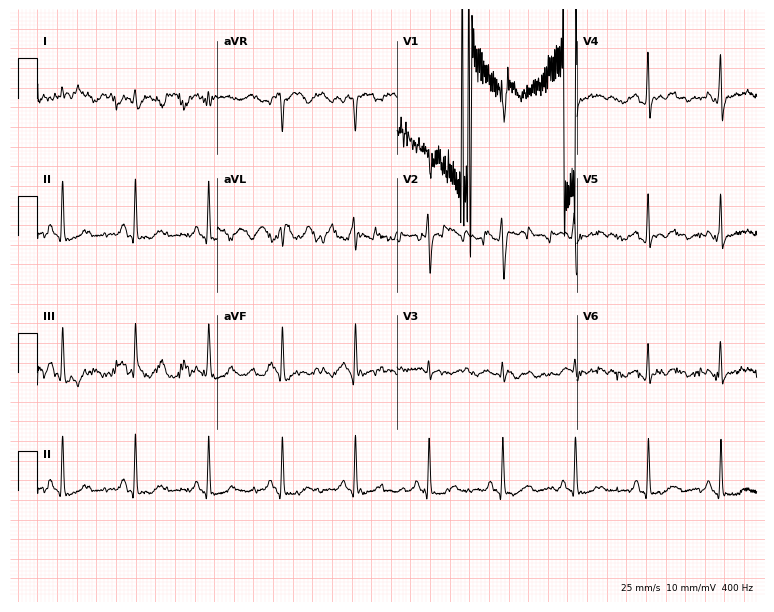
ECG — a 67-year-old female. Screened for six findings — first-degree AV block, right bundle branch block, left bundle branch block, sinus bradycardia, atrial fibrillation, sinus tachycardia — none is recorded.